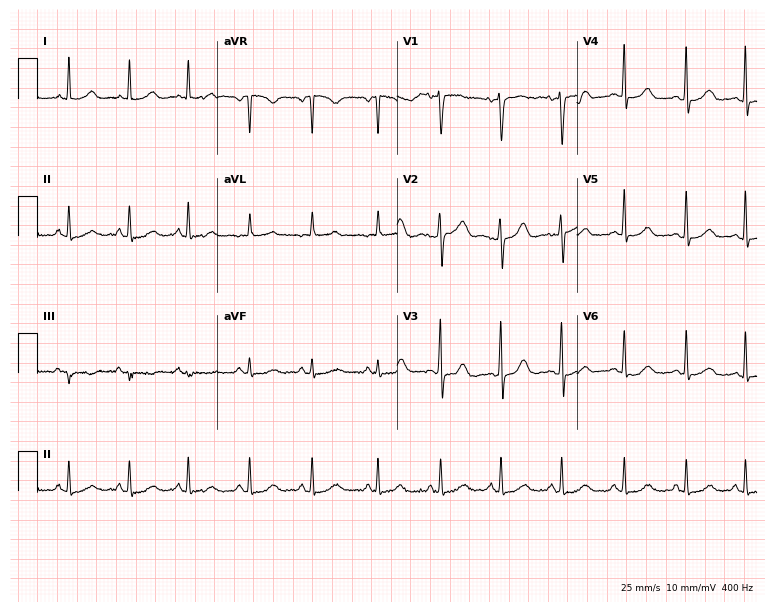
ECG (7.3-second recording at 400 Hz) — a woman, 51 years old. Labelled as a normal ECG.